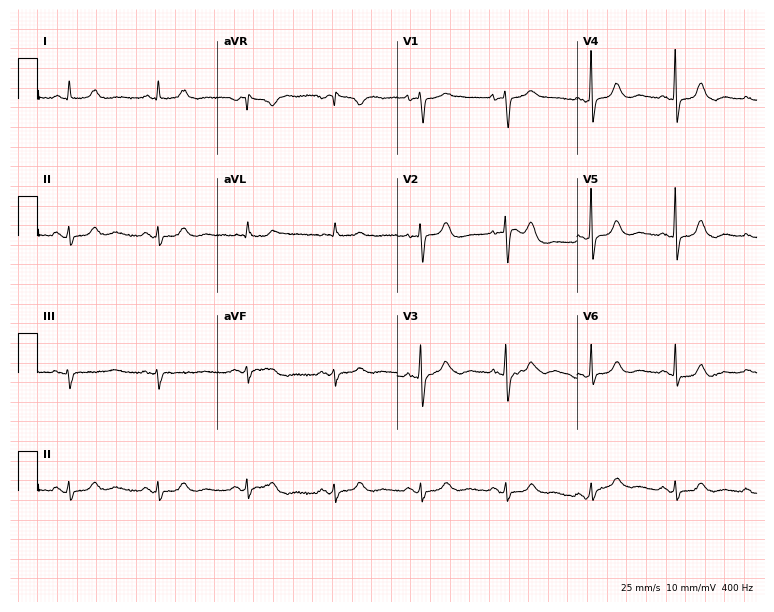
ECG (7.3-second recording at 400 Hz) — a female patient, 72 years old. Labelled as a normal ECG.